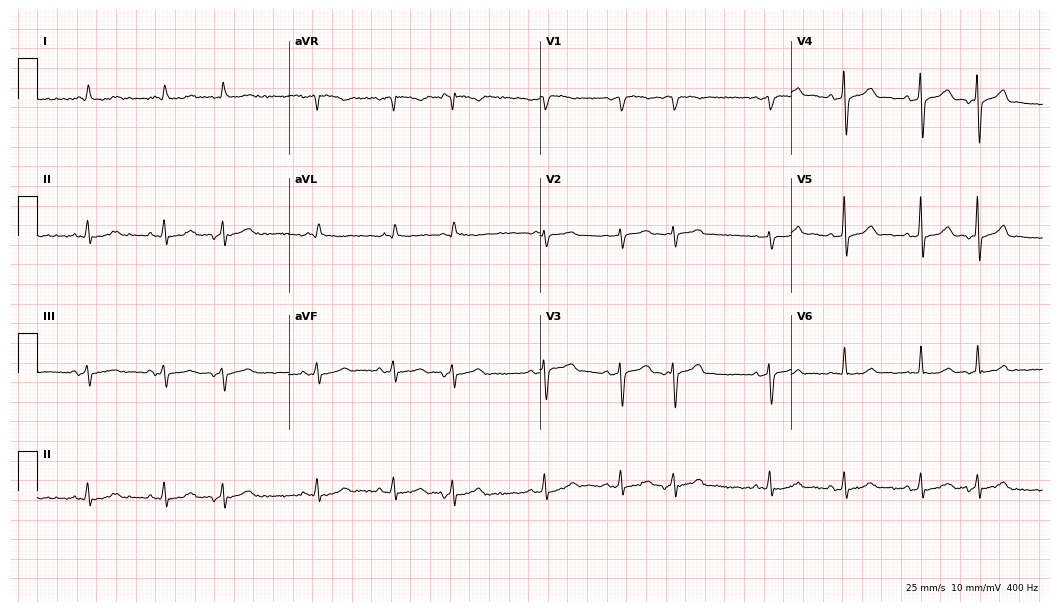
Electrocardiogram, a man, 80 years old. Of the six screened findings (first-degree AV block, right bundle branch block, left bundle branch block, sinus bradycardia, atrial fibrillation, sinus tachycardia), none is recorded.